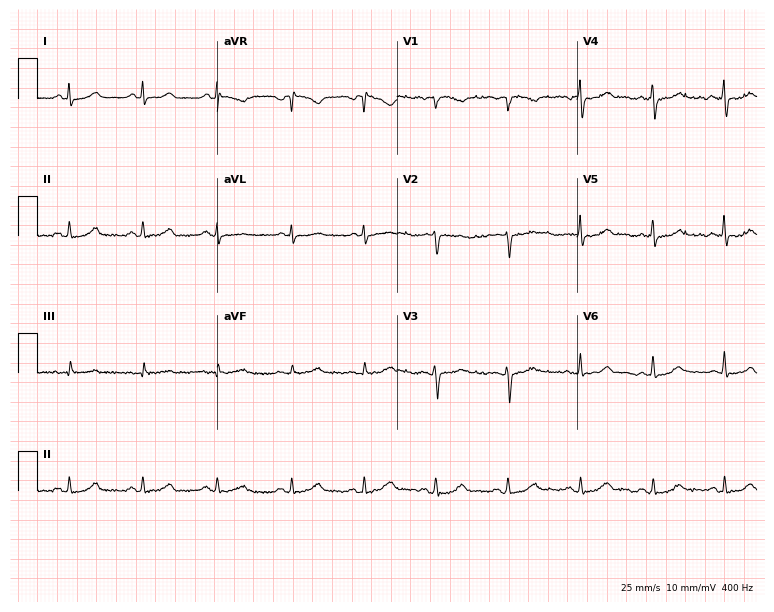
Resting 12-lead electrocardiogram (7.3-second recording at 400 Hz). Patient: a 38-year-old female. Read as a normal ECG.